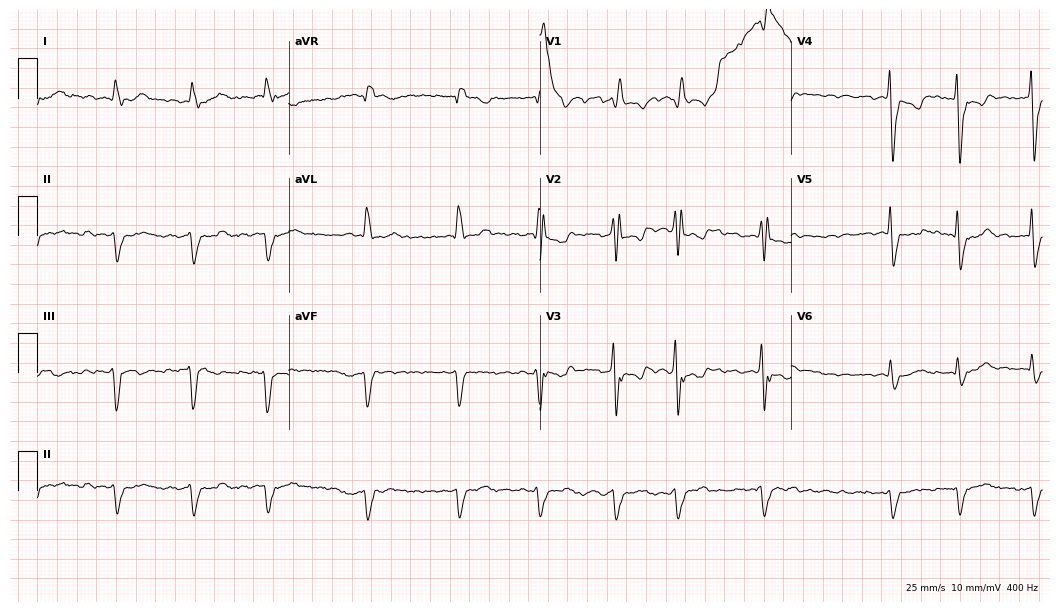
Resting 12-lead electrocardiogram. Patient: a 77-year-old male. The tracing shows right bundle branch block (RBBB).